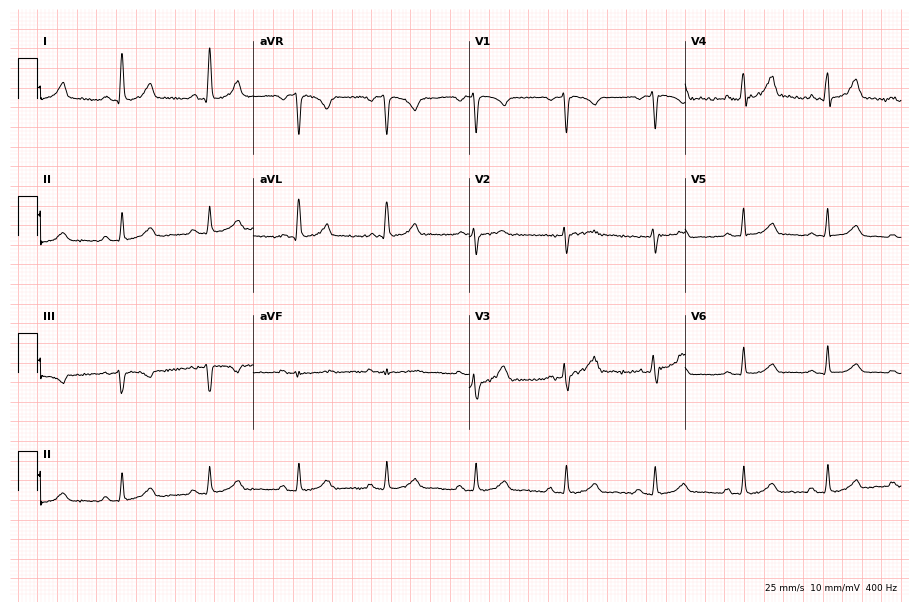
ECG — a female, 46 years old. Labelled as a normal ECG.